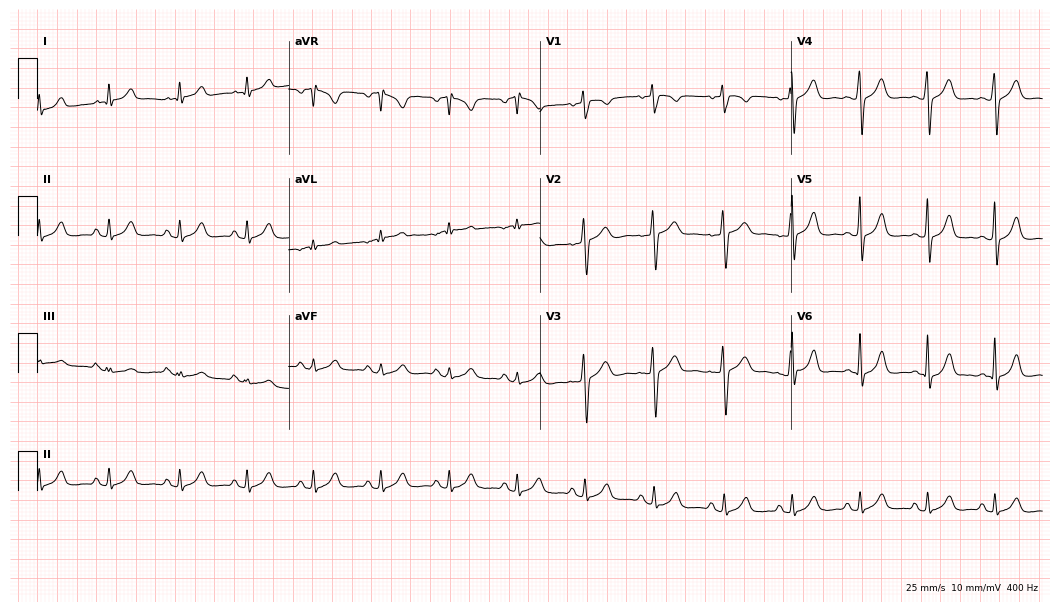
Resting 12-lead electrocardiogram (10.2-second recording at 400 Hz). Patient: a 43-year-old female. Read as a normal ECG.